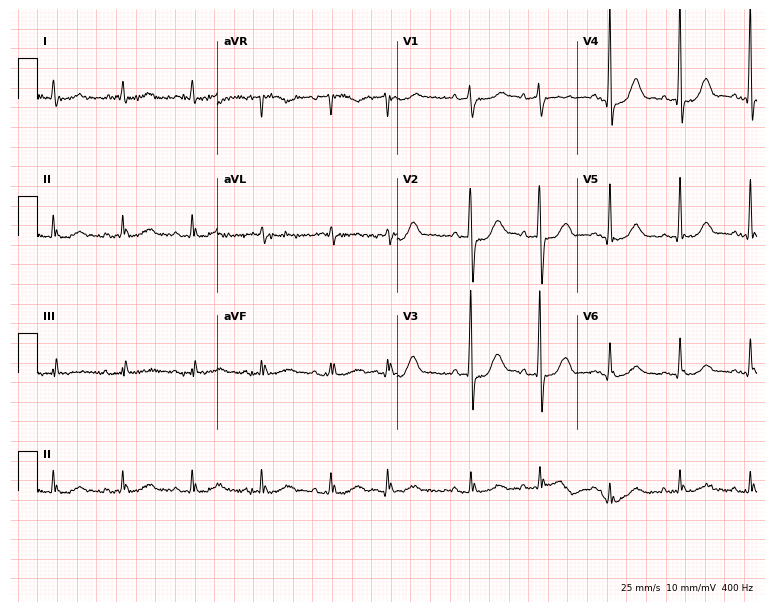
Electrocardiogram (7.3-second recording at 400 Hz), an 85-year-old male patient. Of the six screened findings (first-degree AV block, right bundle branch block (RBBB), left bundle branch block (LBBB), sinus bradycardia, atrial fibrillation (AF), sinus tachycardia), none is recorded. Only these six findings were labelled.